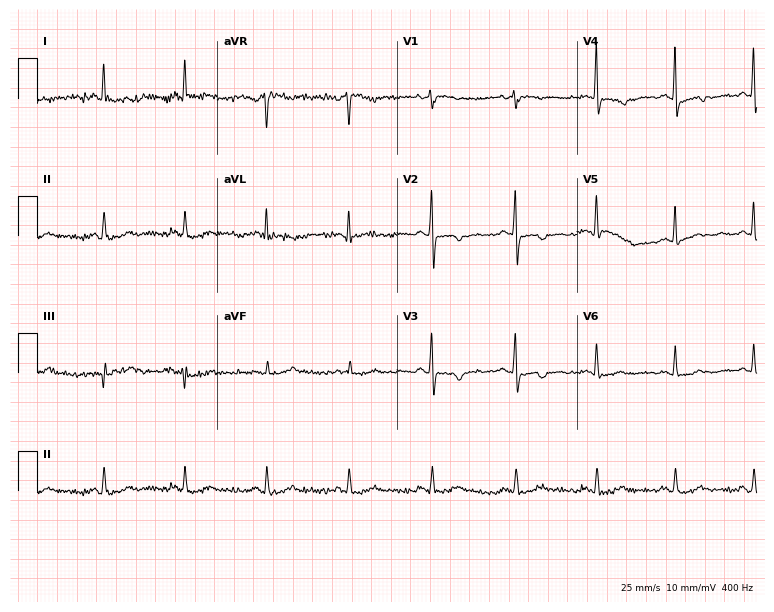
12-lead ECG (7.3-second recording at 400 Hz) from a 58-year-old female patient. Screened for six findings — first-degree AV block, right bundle branch block, left bundle branch block, sinus bradycardia, atrial fibrillation, sinus tachycardia — none is recorded. Only these six findings were labelled.